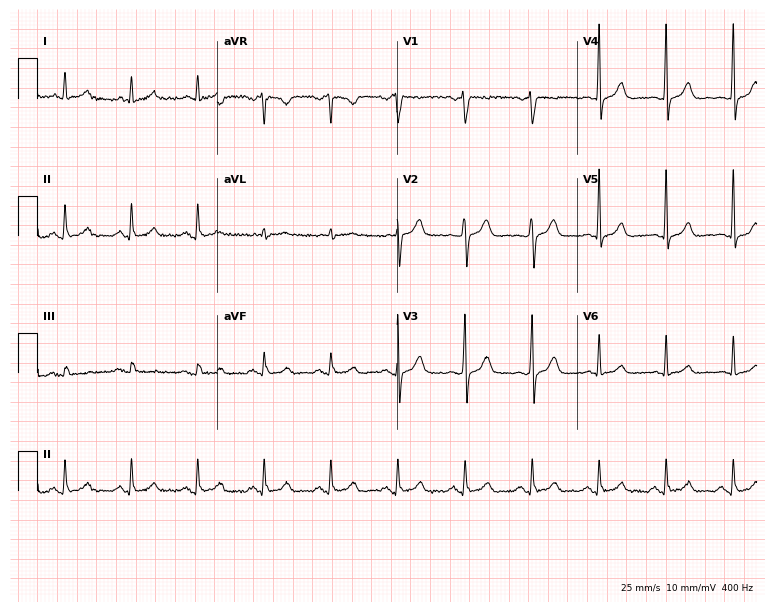
Standard 12-lead ECG recorded from a male, 62 years old (7.3-second recording at 400 Hz). Read as a normal ECG.